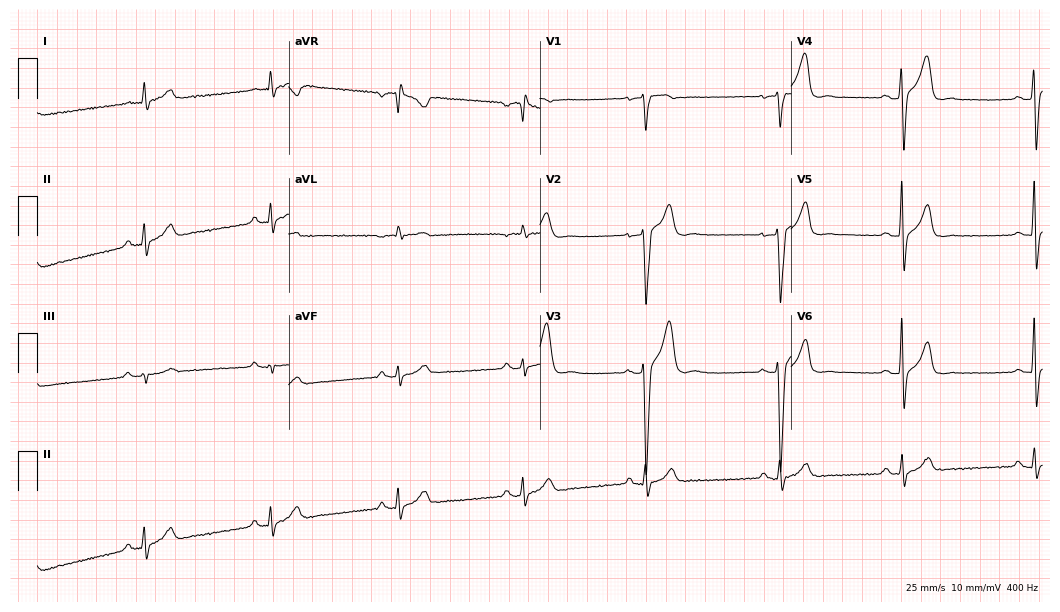
Electrocardiogram, a male, 44 years old. Overall reading on record: normal ECG.